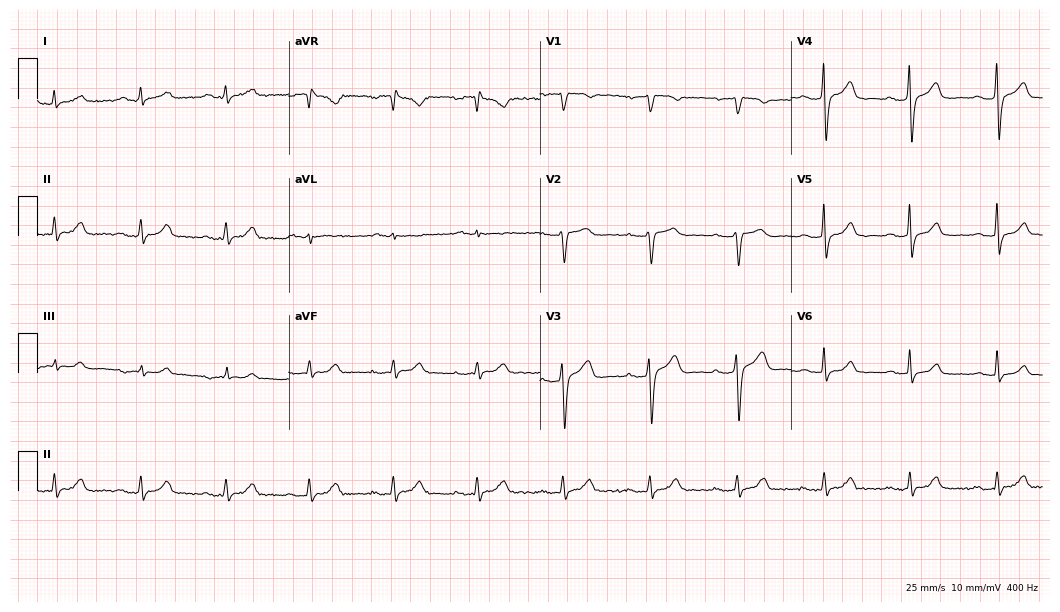
Electrocardiogram, a man, 58 years old. Of the six screened findings (first-degree AV block, right bundle branch block, left bundle branch block, sinus bradycardia, atrial fibrillation, sinus tachycardia), none is recorded. Findings outside these six are not listed.